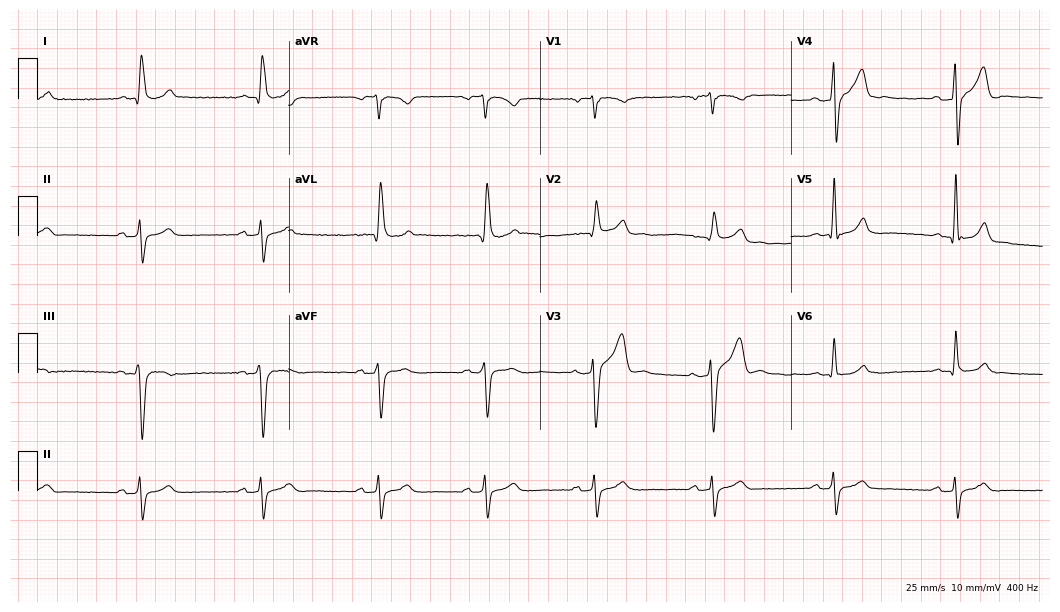
Electrocardiogram (10.2-second recording at 400 Hz), a man, 49 years old. Interpretation includes right bundle branch block (RBBB).